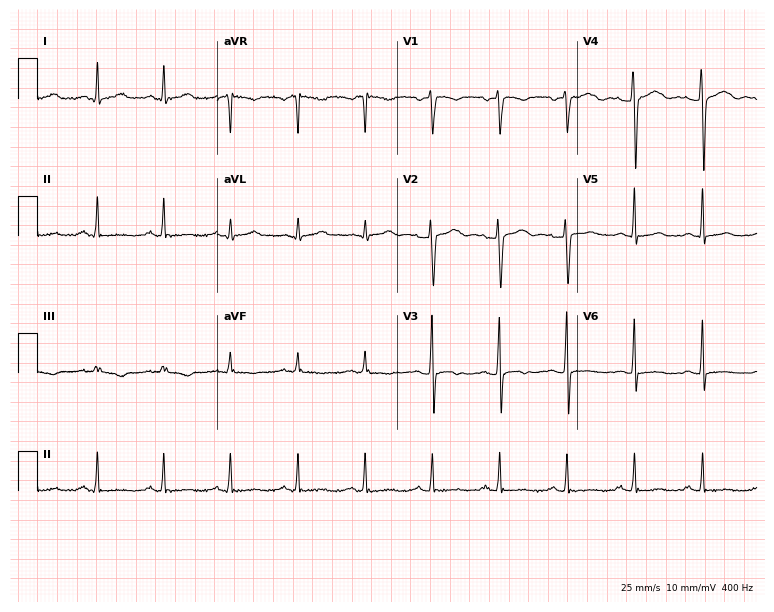
12-lead ECG from a female, 32 years old. Screened for six findings — first-degree AV block, right bundle branch block, left bundle branch block, sinus bradycardia, atrial fibrillation, sinus tachycardia — none is recorded. Findings outside these six are not listed.